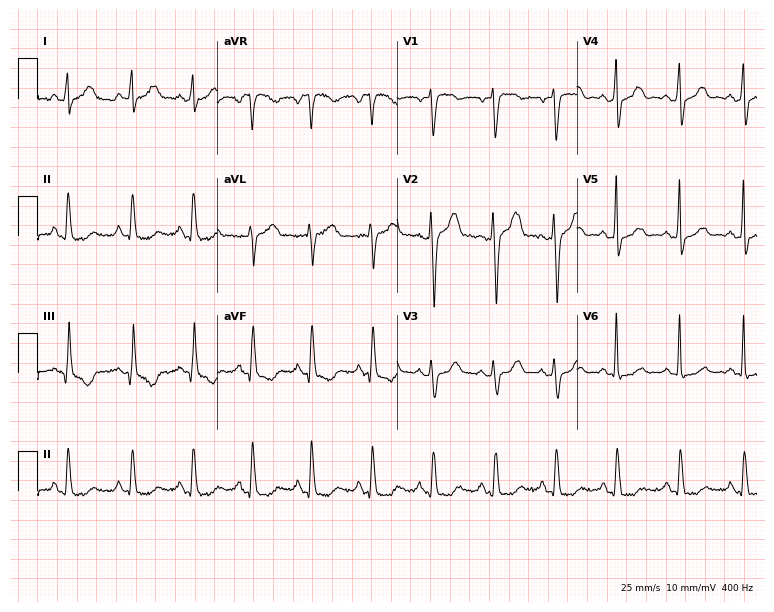
Resting 12-lead electrocardiogram. Patient: a 57-year-old female. None of these six findings is recorded: first-degree AV block, right bundle branch block, left bundle branch block, sinus bradycardia, atrial fibrillation, sinus tachycardia. Only these six findings were labelled.